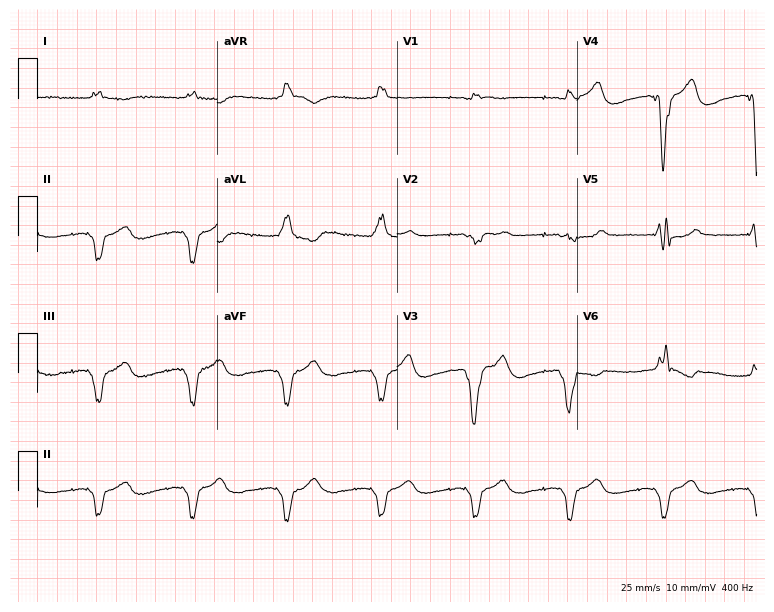
12-lead ECG (7.3-second recording at 400 Hz) from an 82-year-old male patient. Screened for six findings — first-degree AV block, right bundle branch block (RBBB), left bundle branch block (LBBB), sinus bradycardia, atrial fibrillation (AF), sinus tachycardia — none is recorded. Other findings, if any, are not listed.